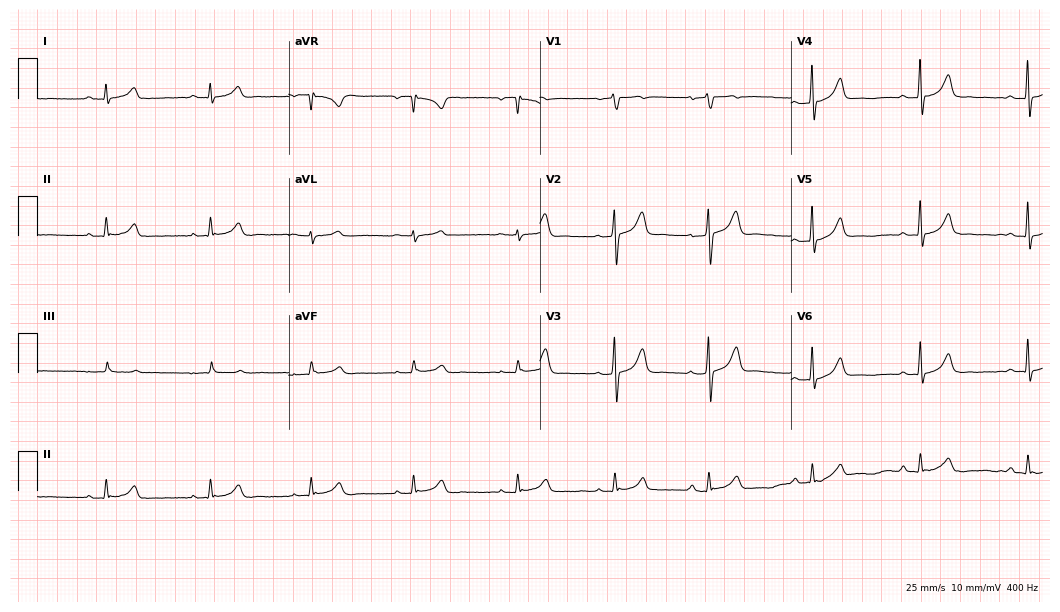
Resting 12-lead electrocardiogram. Patient: a 42-year-old male. Read as a normal ECG.